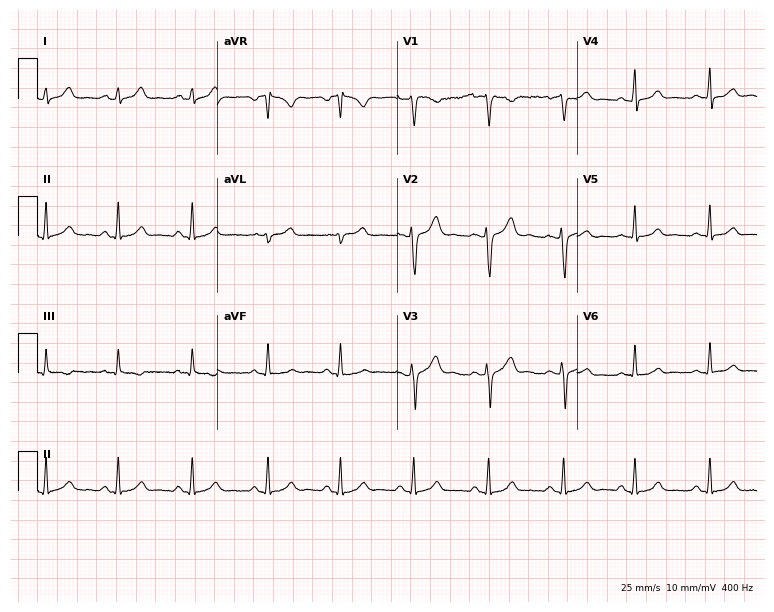
12-lead ECG (7.3-second recording at 400 Hz) from a 24-year-old female. Labelled as a normal ECG.